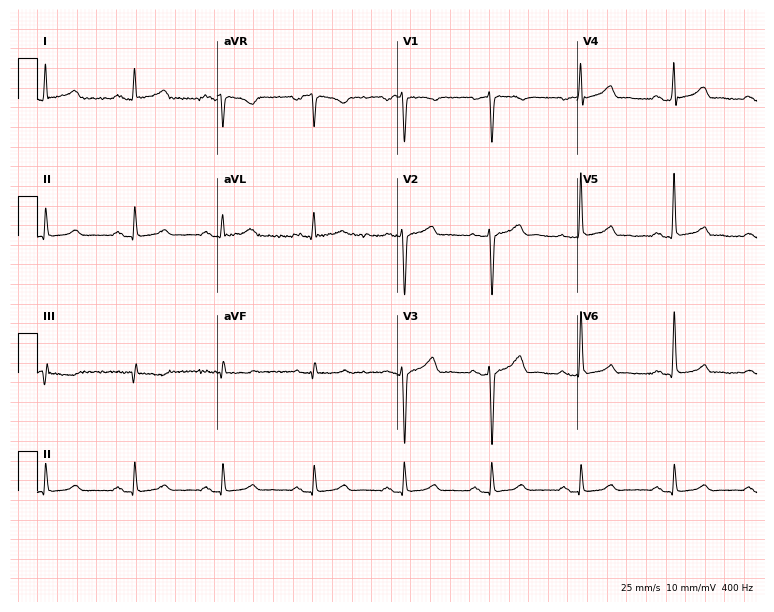
12-lead ECG from a 48-year-old man. Labelled as a normal ECG.